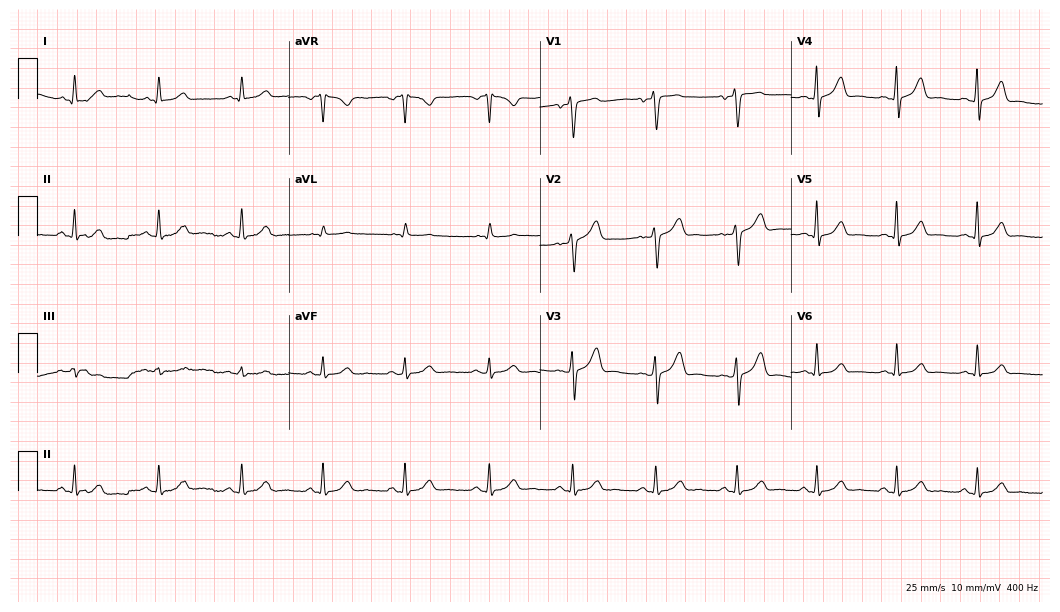
Electrocardiogram (10.2-second recording at 400 Hz), a 57-year-old man. Of the six screened findings (first-degree AV block, right bundle branch block, left bundle branch block, sinus bradycardia, atrial fibrillation, sinus tachycardia), none is recorded. Other findings, if any, are not listed.